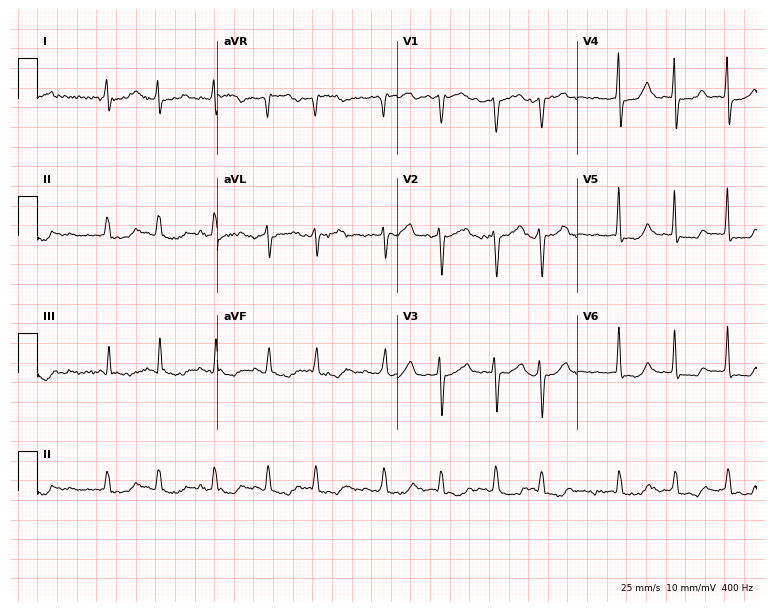
12-lead ECG (7.3-second recording at 400 Hz) from a 75-year-old female patient. Findings include atrial fibrillation.